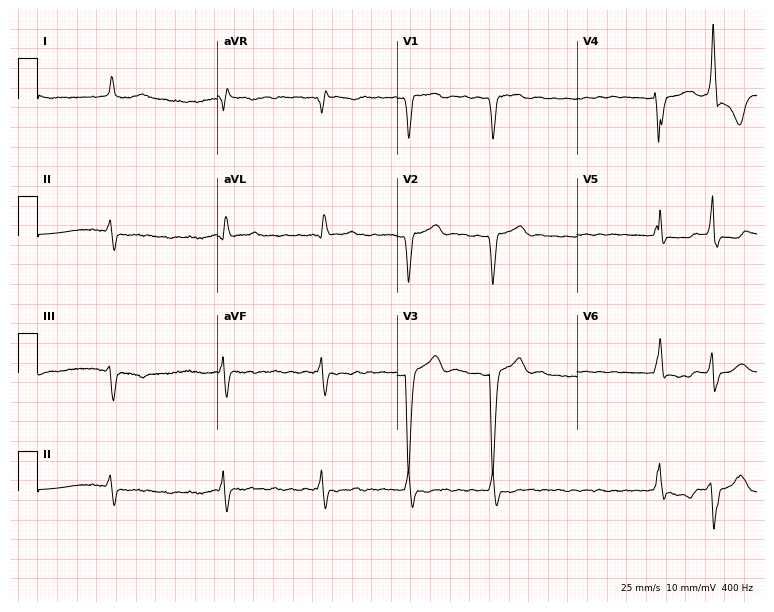
Resting 12-lead electrocardiogram. Patient: an 83-year-old male. The tracing shows left bundle branch block, atrial fibrillation.